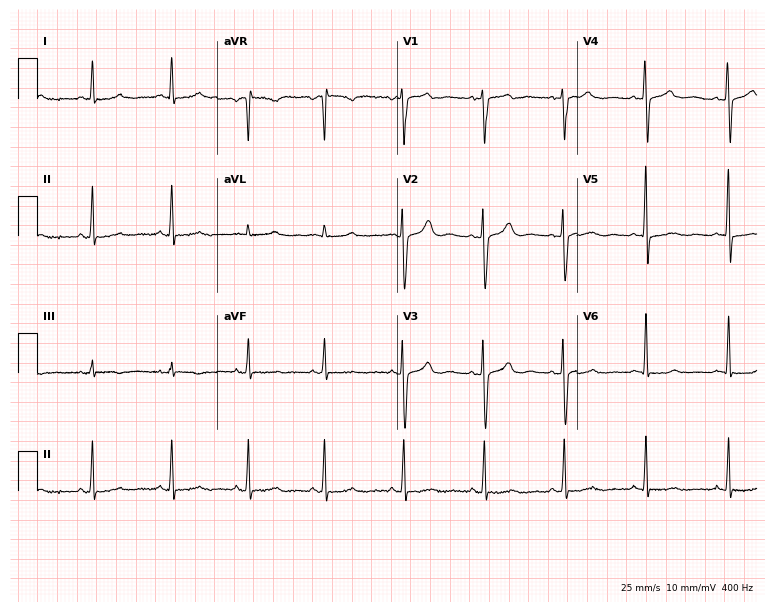
ECG (7.3-second recording at 400 Hz) — a 44-year-old female. Screened for six findings — first-degree AV block, right bundle branch block, left bundle branch block, sinus bradycardia, atrial fibrillation, sinus tachycardia — none is recorded. Only these six findings were labelled.